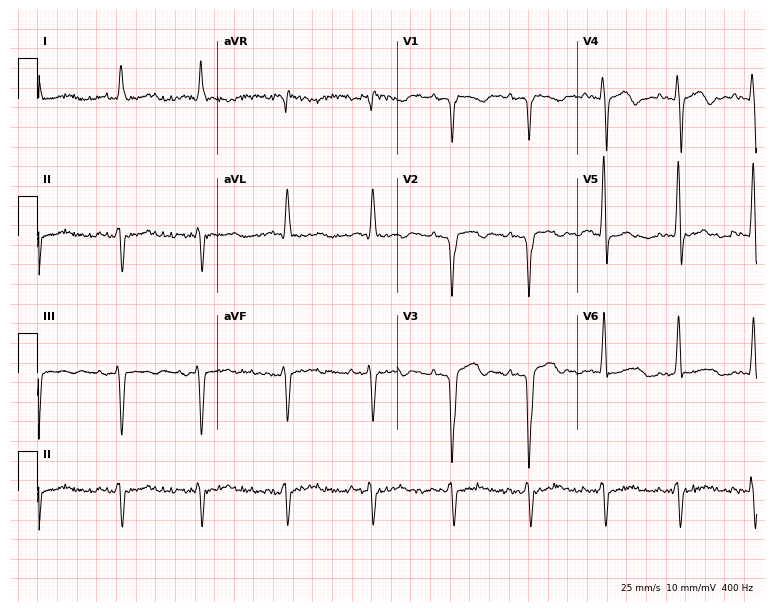
Electrocardiogram, an 85-year-old male patient. Of the six screened findings (first-degree AV block, right bundle branch block (RBBB), left bundle branch block (LBBB), sinus bradycardia, atrial fibrillation (AF), sinus tachycardia), none is recorded.